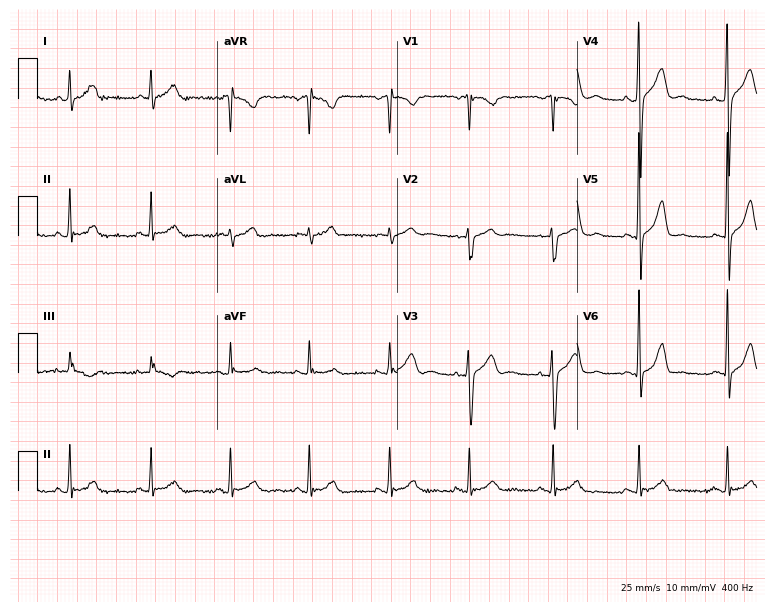
12-lead ECG (7.3-second recording at 400 Hz) from a 45-year-old man. Labelled as a normal ECG.